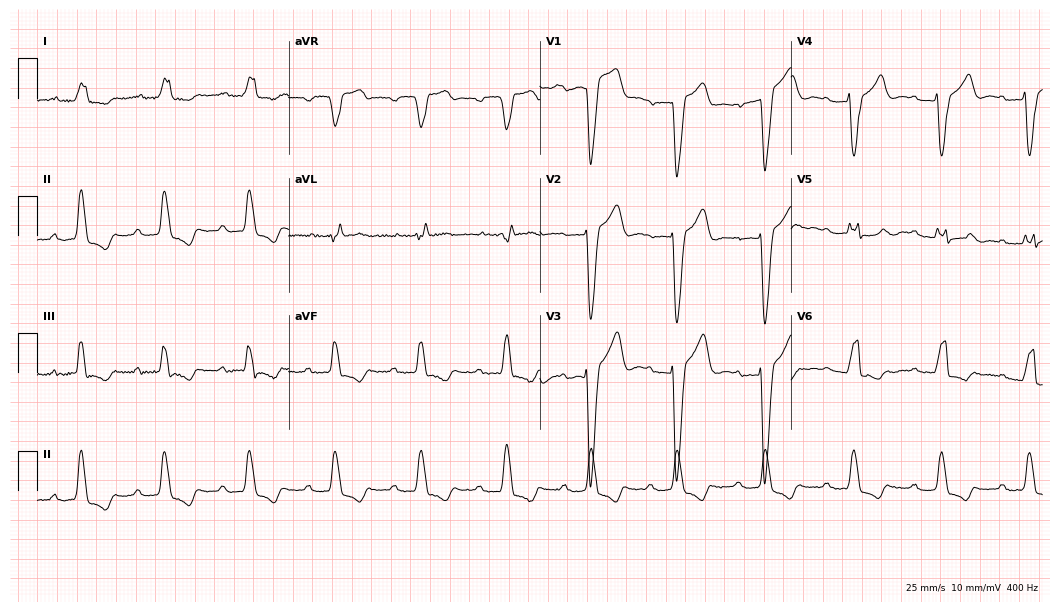
12-lead ECG (10.2-second recording at 400 Hz) from a male, 81 years old. Findings include first-degree AV block, left bundle branch block.